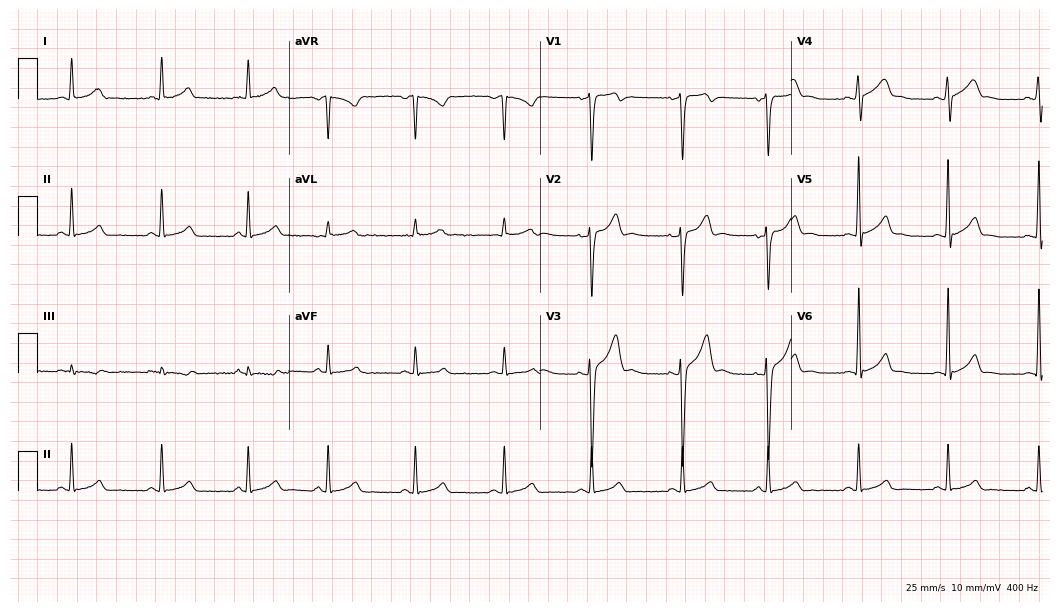
Electrocardiogram (10.2-second recording at 400 Hz), a male patient, 30 years old. Overall reading on record: normal ECG.